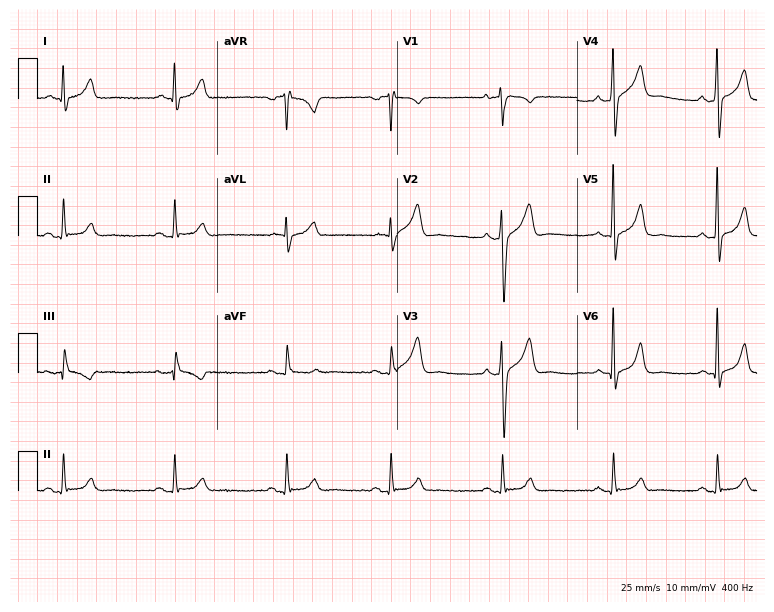
Standard 12-lead ECG recorded from a male, 34 years old (7.3-second recording at 400 Hz). Read as a normal ECG.